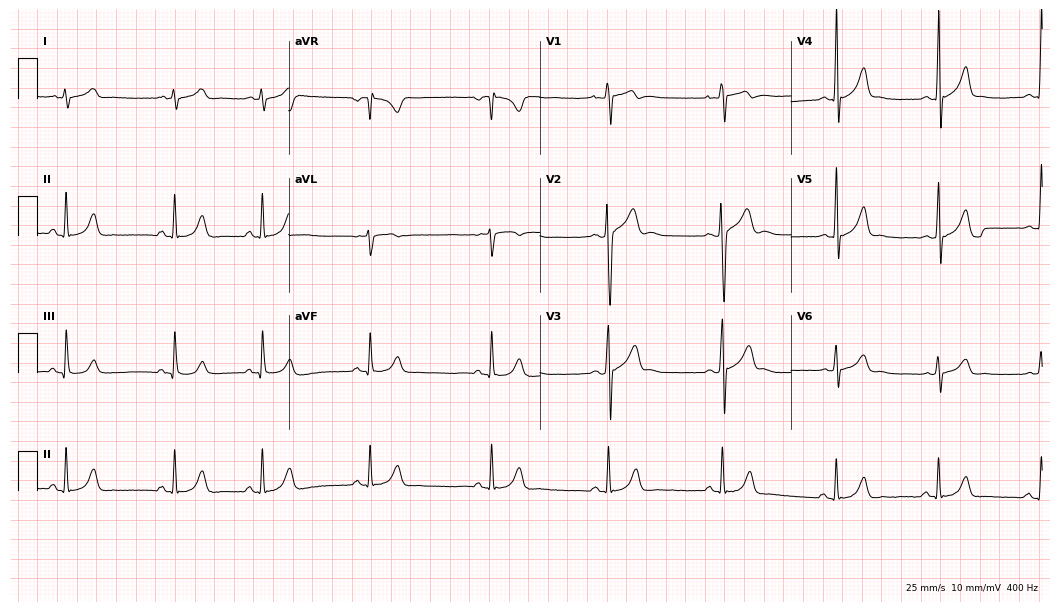
Resting 12-lead electrocardiogram (10.2-second recording at 400 Hz). Patient: a man, 18 years old. None of these six findings is recorded: first-degree AV block, right bundle branch block (RBBB), left bundle branch block (LBBB), sinus bradycardia, atrial fibrillation (AF), sinus tachycardia. Other findings, if any, are not listed.